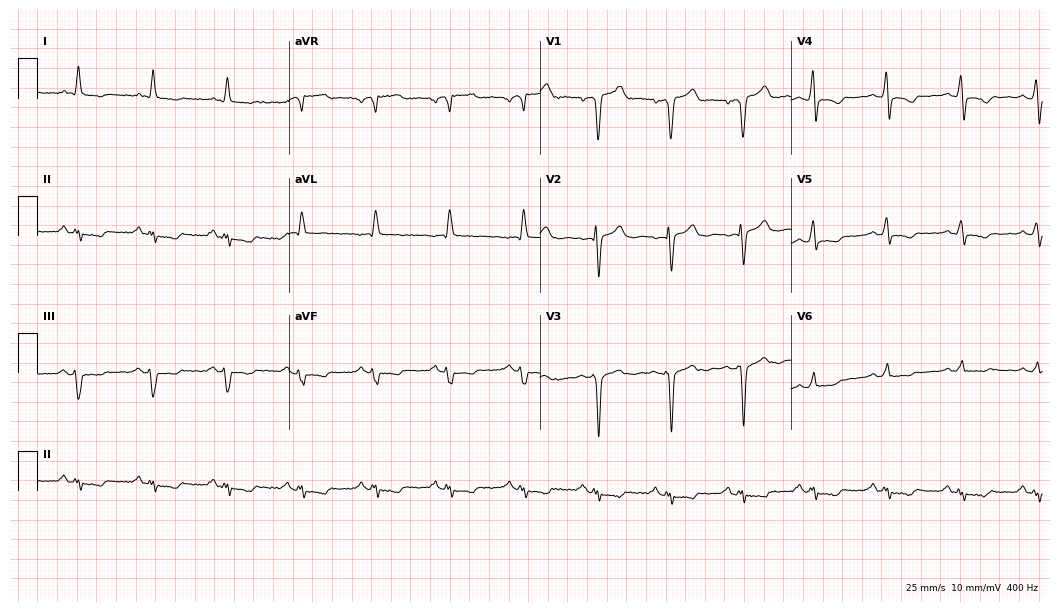
12-lead ECG (10.2-second recording at 400 Hz) from a 60-year-old male patient. Screened for six findings — first-degree AV block, right bundle branch block (RBBB), left bundle branch block (LBBB), sinus bradycardia, atrial fibrillation (AF), sinus tachycardia — none is recorded.